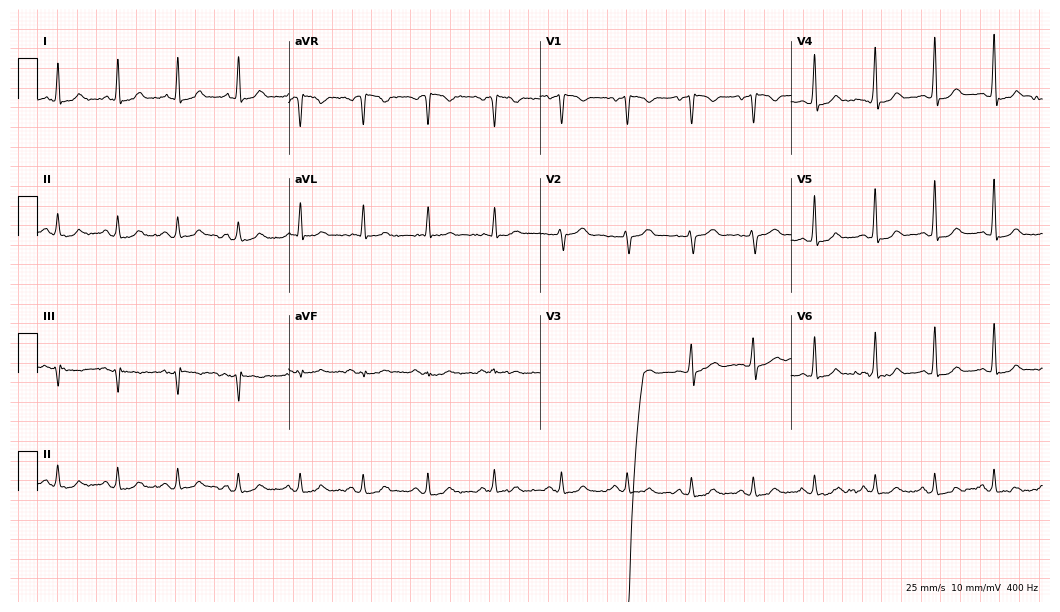
Resting 12-lead electrocardiogram (10.2-second recording at 400 Hz). Patient: a female, 39 years old. None of these six findings is recorded: first-degree AV block, right bundle branch block, left bundle branch block, sinus bradycardia, atrial fibrillation, sinus tachycardia.